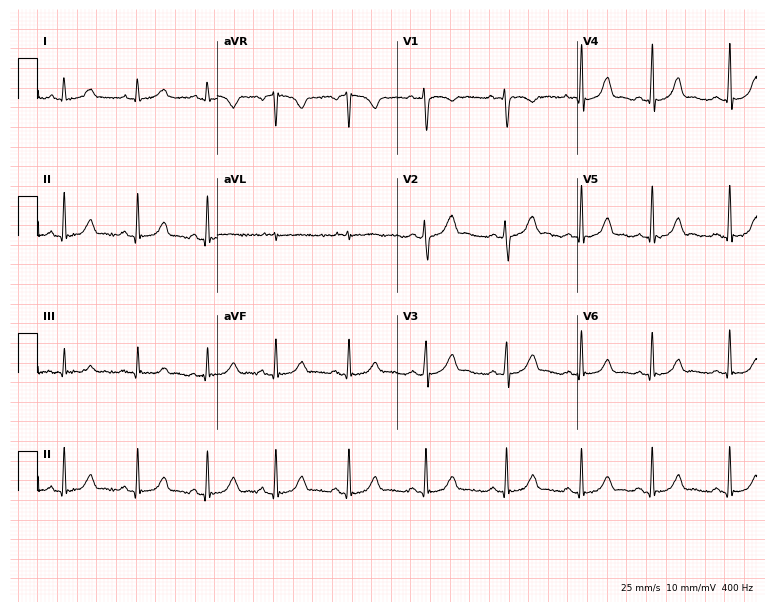
ECG — a 25-year-old female. Labelled as a normal ECG.